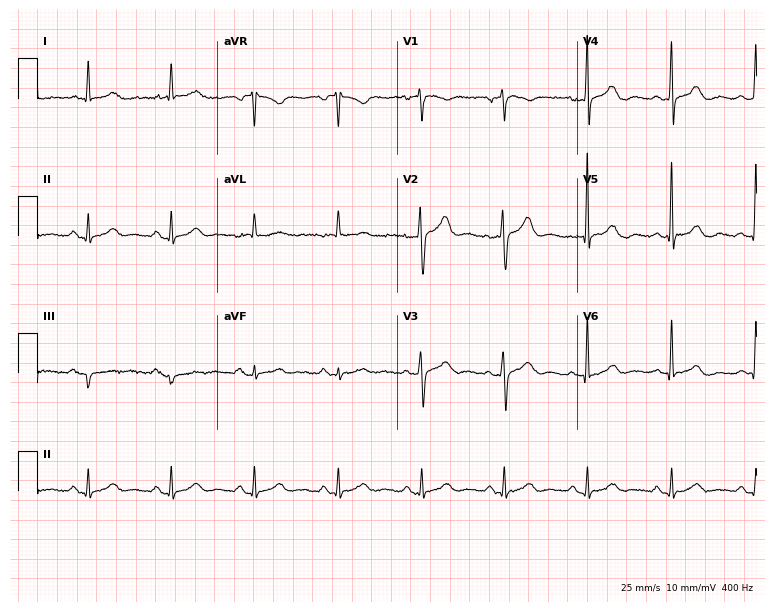
Electrocardiogram (7.3-second recording at 400 Hz), a 66-year-old female patient. Overall reading on record: normal ECG.